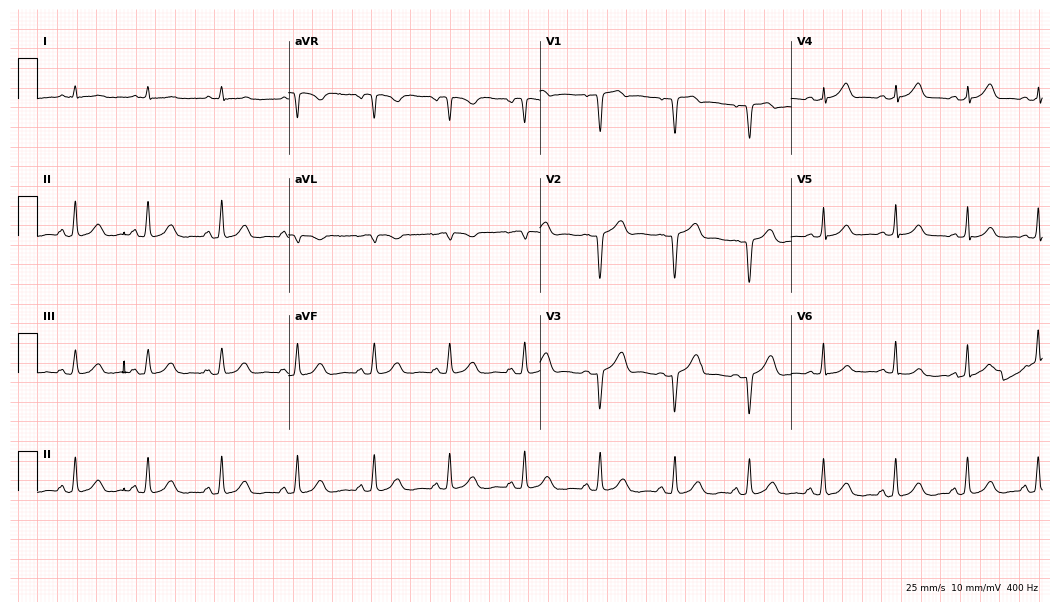
Resting 12-lead electrocardiogram. Patient: a 62-year-old man. None of these six findings is recorded: first-degree AV block, right bundle branch block (RBBB), left bundle branch block (LBBB), sinus bradycardia, atrial fibrillation (AF), sinus tachycardia. Findings outside these six are not listed.